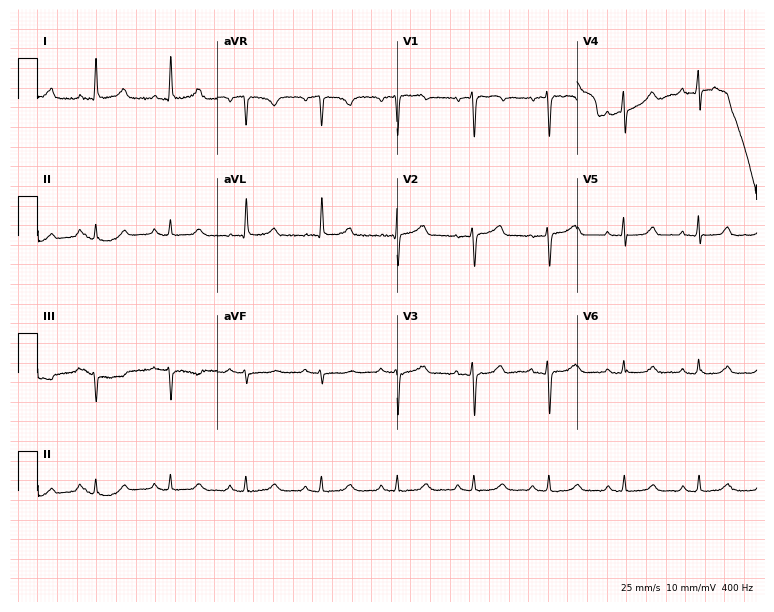
12-lead ECG (7.3-second recording at 400 Hz) from a 70-year-old woman. Screened for six findings — first-degree AV block, right bundle branch block, left bundle branch block, sinus bradycardia, atrial fibrillation, sinus tachycardia — none is recorded.